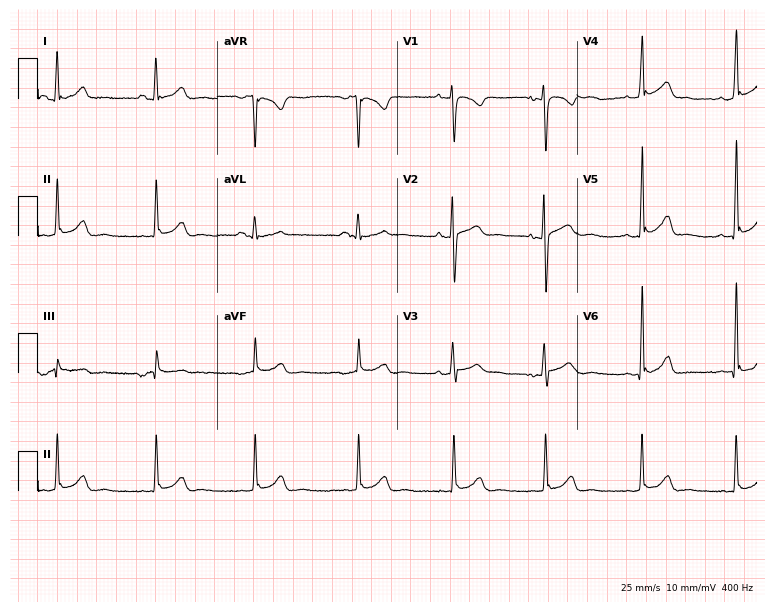
Resting 12-lead electrocardiogram (7.3-second recording at 400 Hz). Patient: a 32-year-old female. None of these six findings is recorded: first-degree AV block, right bundle branch block, left bundle branch block, sinus bradycardia, atrial fibrillation, sinus tachycardia.